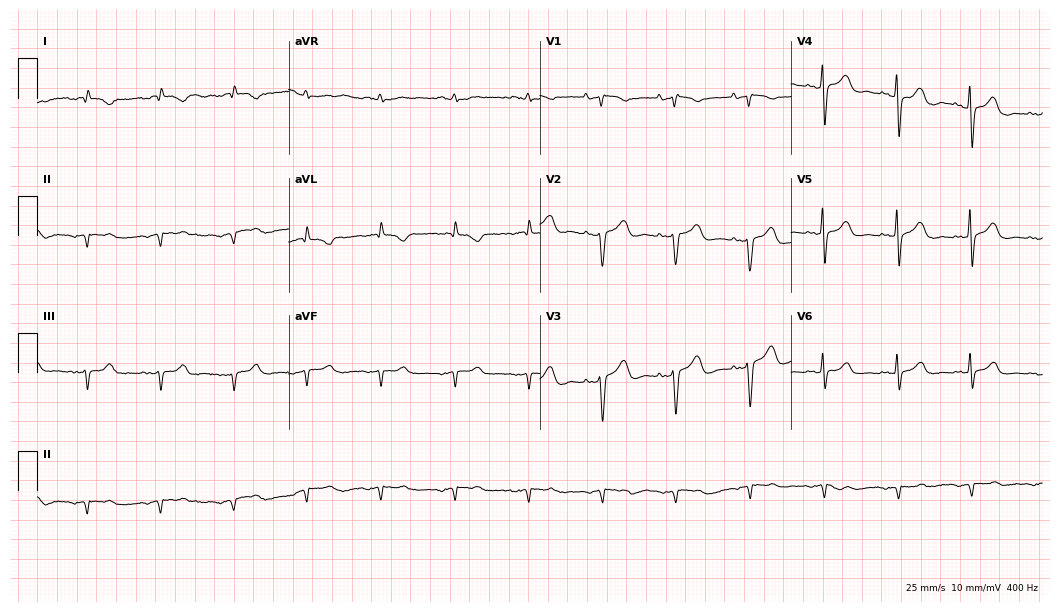
12-lead ECG from a woman, 69 years old. Screened for six findings — first-degree AV block, right bundle branch block, left bundle branch block, sinus bradycardia, atrial fibrillation, sinus tachycardia — none is recorded.